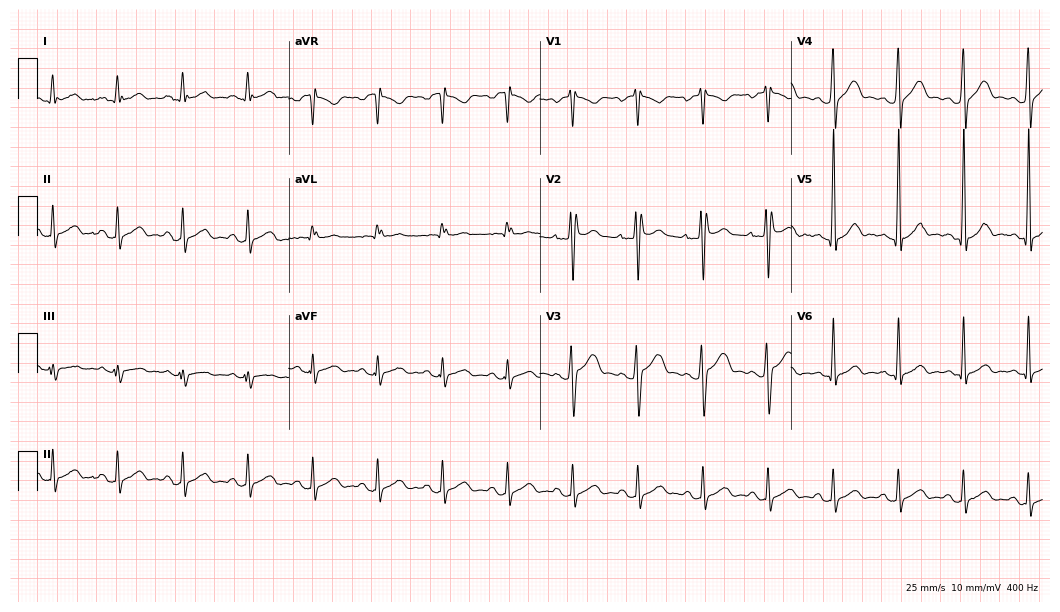
Standard 12-lead ECG recorded from a 32-year-old man (10.2-second recording at 400 Hz). None of these six findings is recorded: first-degree AV block, right bundle branch block, left bundle branch block, sinus bradycardia, atrial fibrillation, sinus tachycardia.